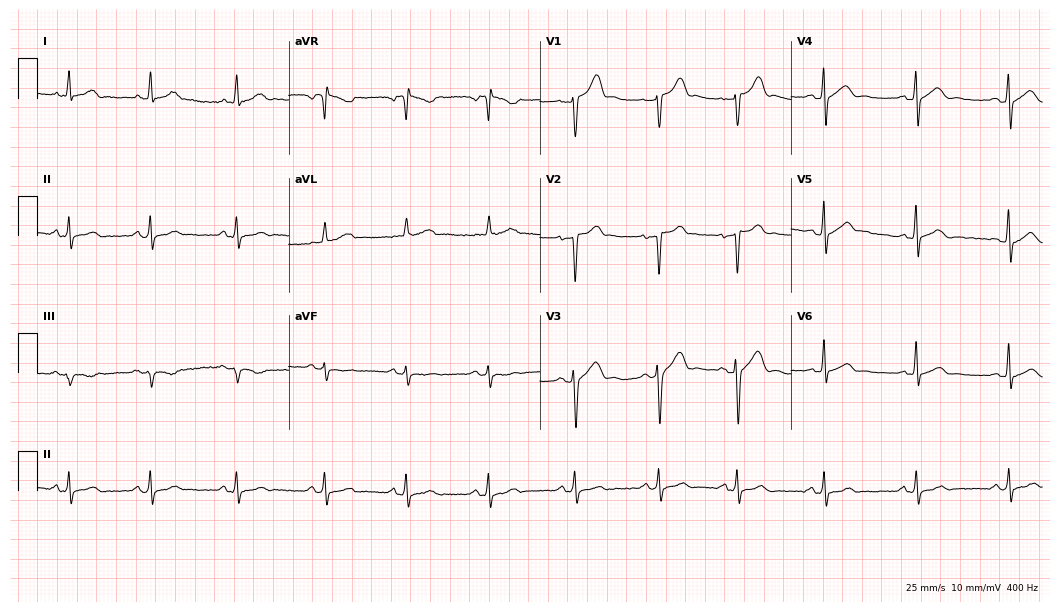
Standard 12-lead ECG recorded from a 40-year-old male (10.2-second recording at 400 Hz). Read as a normal ECG.